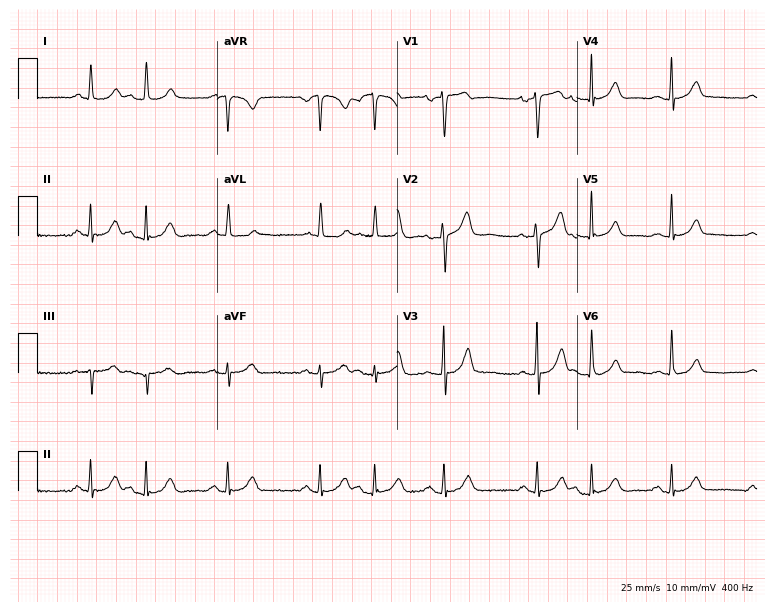
Standard 12-lead ECG recorded from a woman, 78 years old. None of these six findings is recorded: first-degree AV block, right bundle branch block, left bundle branch block, sinus bradycardia, atrial fibrillation, sinus tachycardia.